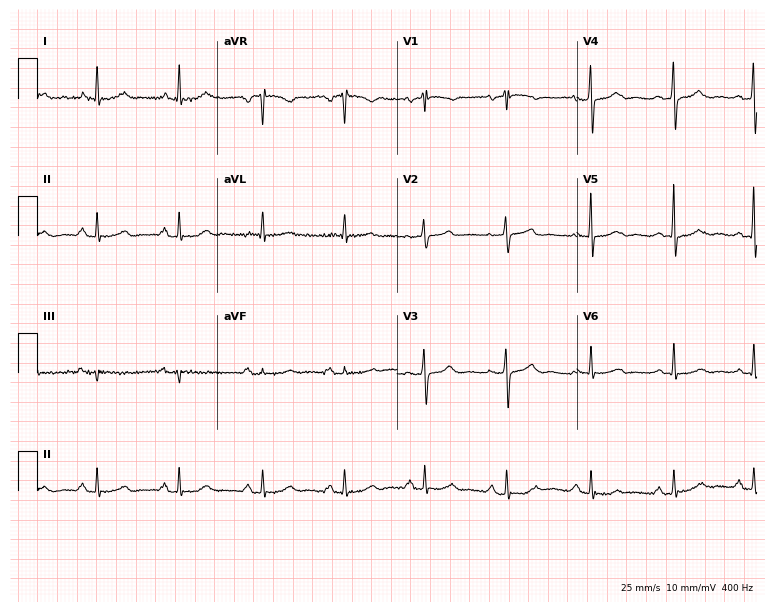
12-lead ECG from a 66-year-old female. No first-degree AV block, right bundle branch block (RBBB), left bundle branch block (LBBB), sinus bradycardia, atrial fibrillation (AF) or sinus tachycardia recorded for this tracing. Only these six findings were labelled.